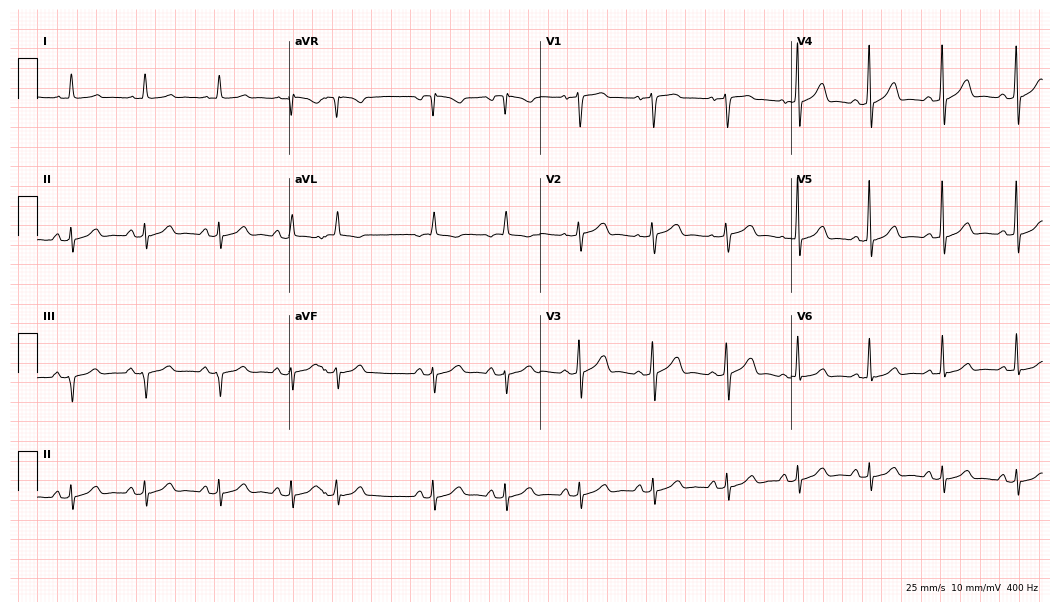
ECG (10.2-second recording at 400 Hz) — a 79-year-old female. Labelled as a normal ECG.